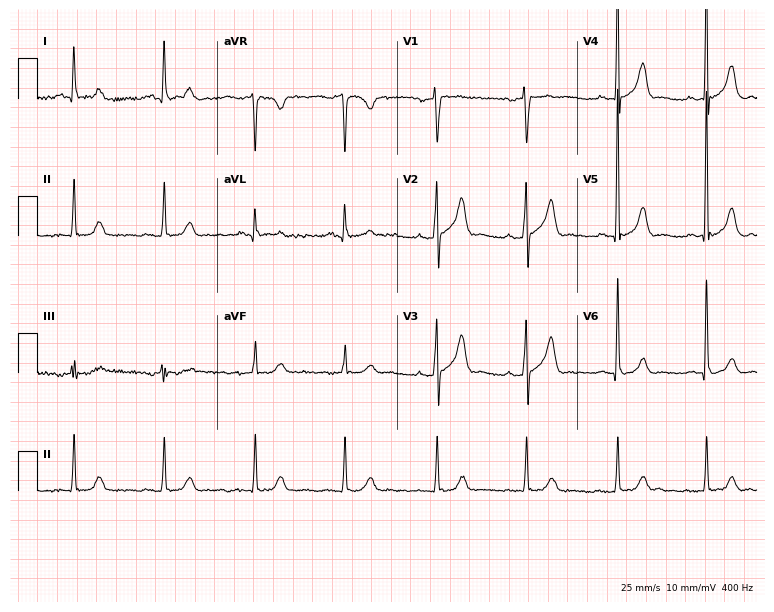
Electrocardiogram, a 54-year-old man. Overall reading on record: normal ECG.